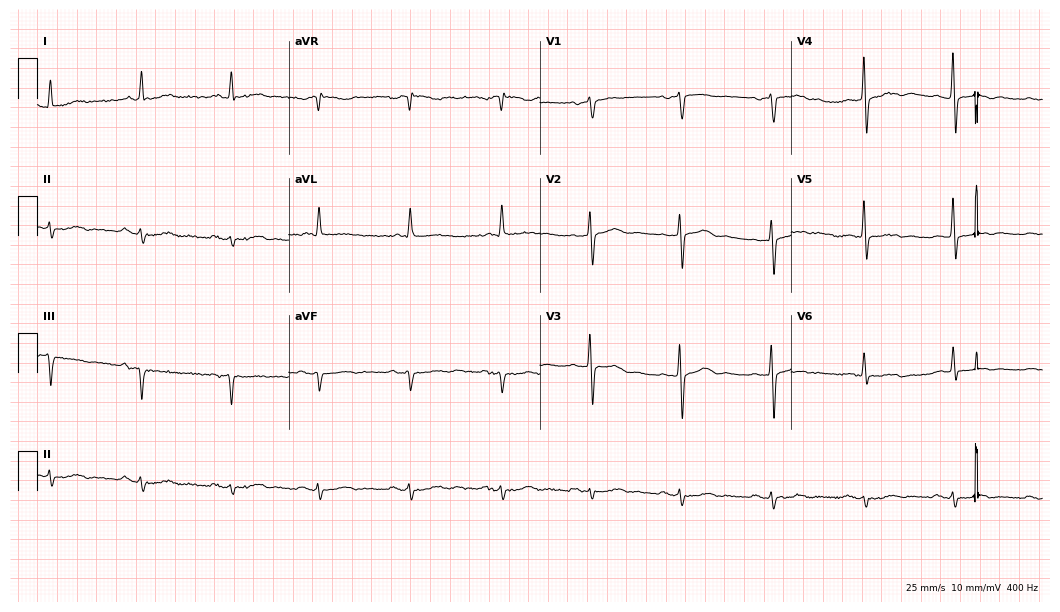
12-lead ECG from a 75-year-old man. Recorded interpretation: within normal limits.